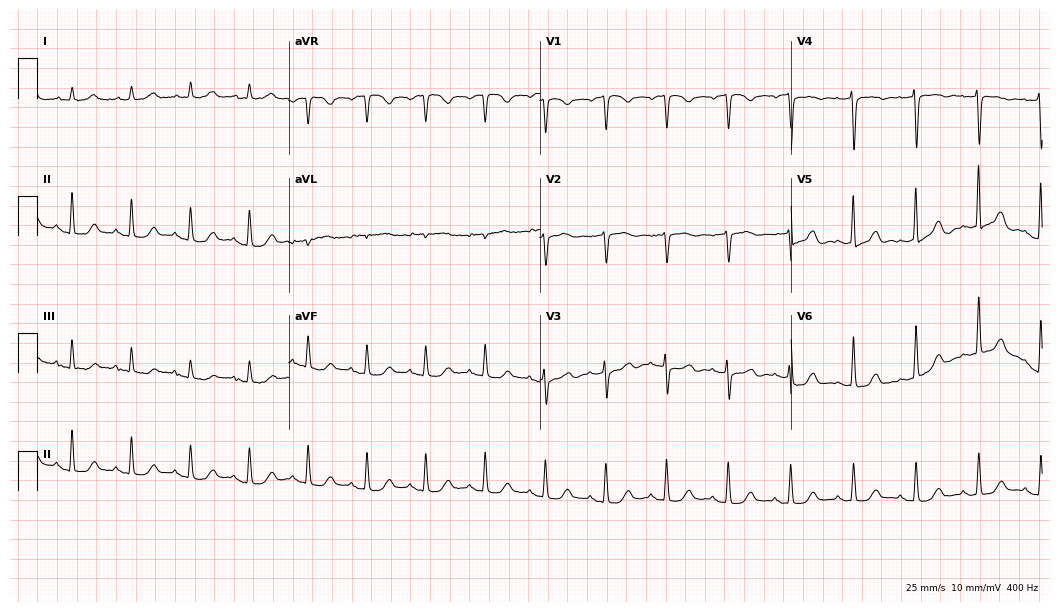
Electrocardiogram, a female, 83 years old. Overall reading on record: normal ECG.